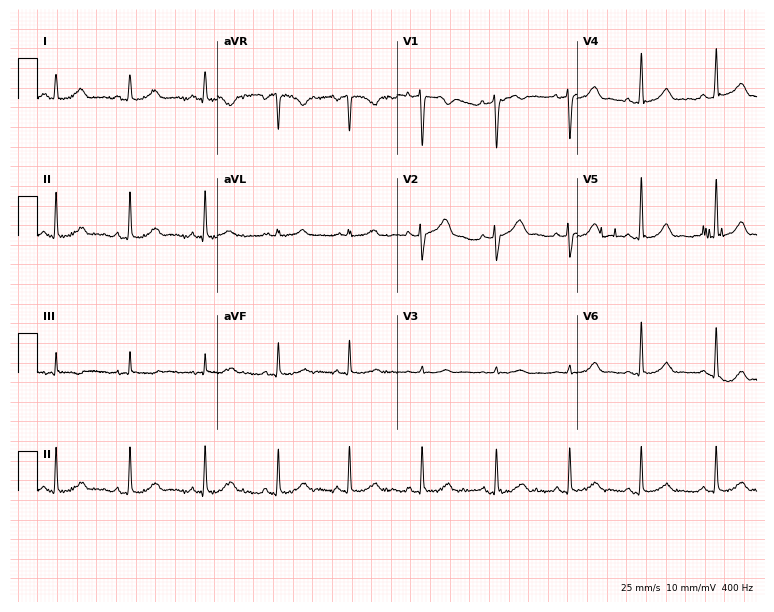
Standard 12-lead ECG recorded from a female, 43 years old. Read as a normal ECG.